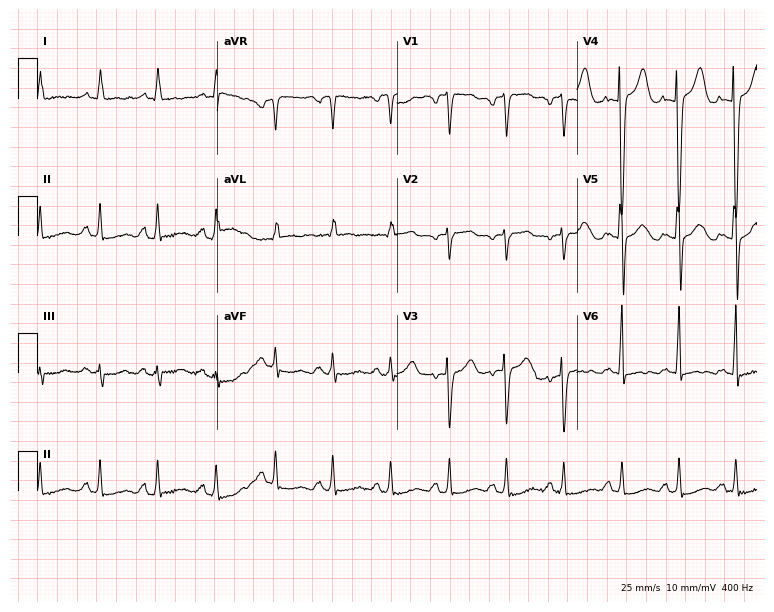
Resting 12-lead electrocardiogram. Patient: a 69-year-old male. None of these six findings is recorded: first-degree AV block, right bundle branch block, left bundle branch block, sinus bradycardia, atrial fibrillation, sinus tachycardia. Findings outside these six are not listed.